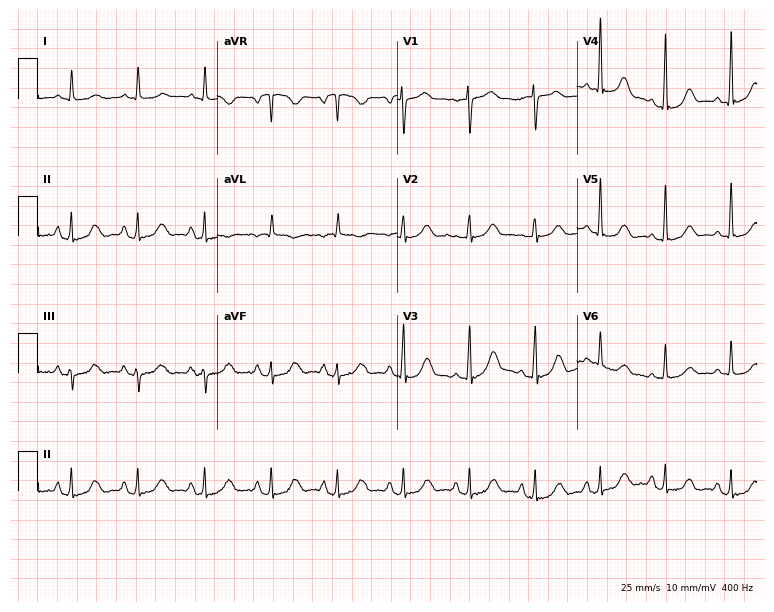
Resting 12-lead electrocardiogram. Patient: a 78-year-old female. Read as a normal ECG.